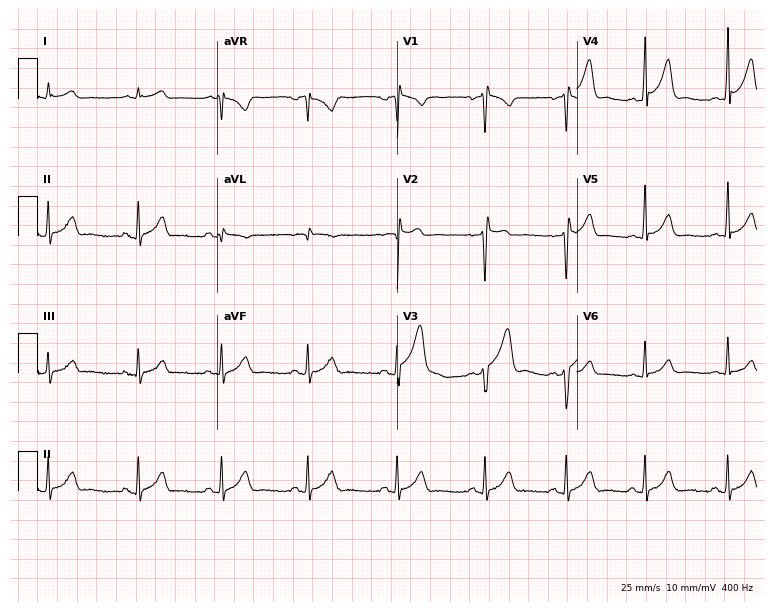
Standard 12-lead ECG recorded from a 23-year-old male patient (7.3-second recording at 400 Hz). None of these six findings is recorded: first-degree AV block, right bundle branch block, left bundle branch block, sinus bradycardia, atrial fibrillation, sinus tachycardia.